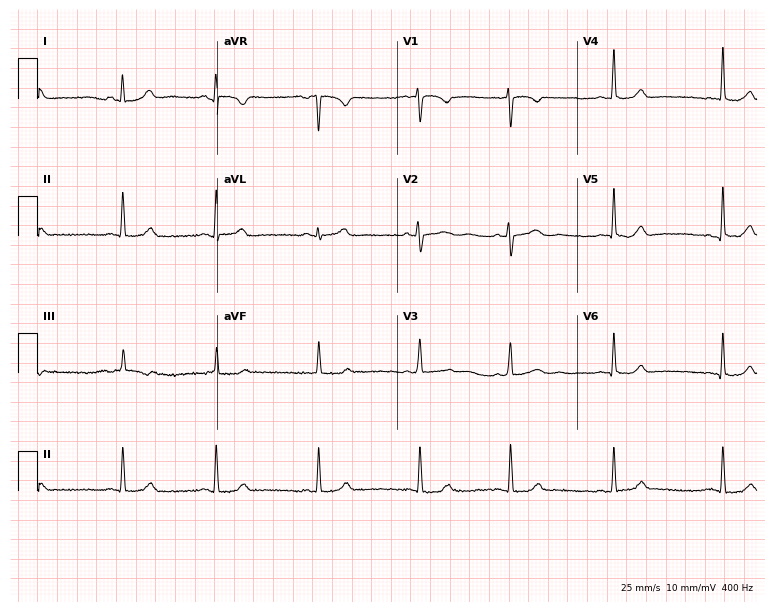
12-lead ECG from a 21-year-old female. Recorded interpretation: within normal limits.